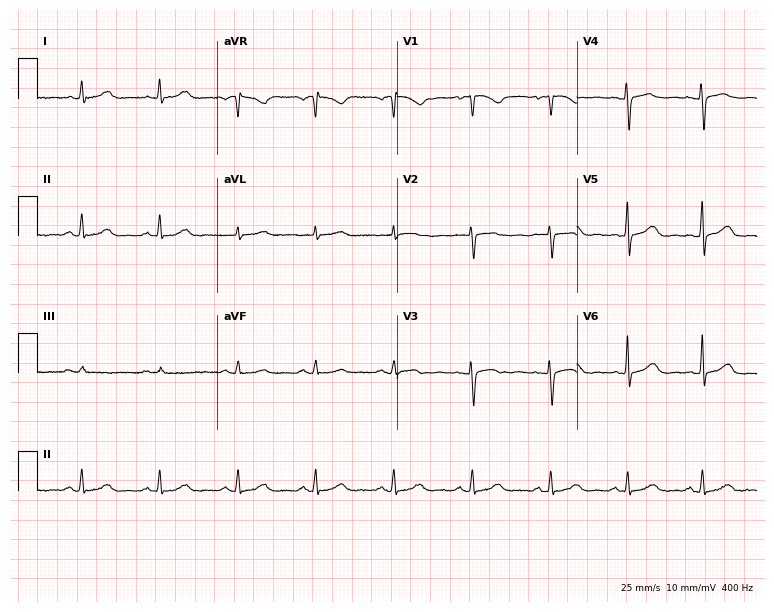
12-lead ECG (7.3-second recording at 400 Hz) from a 50-year-old woman. Labelled as a normal ECG.